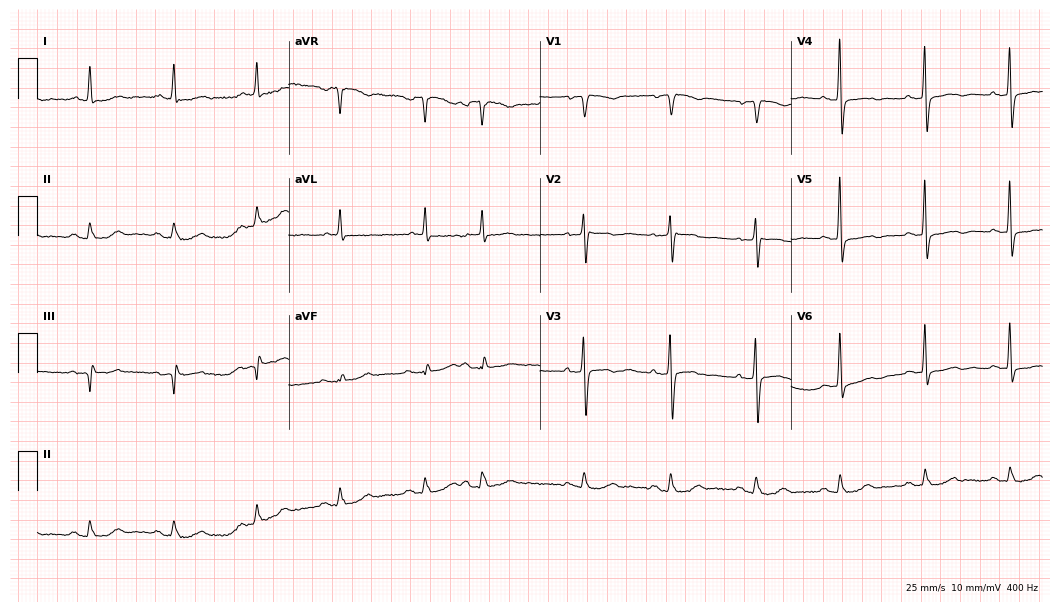
Standard 12-lead ECG recorded from a woman, 73 years old (10.2-second recording at 400 Hz). None of these six findings is recorded: first-degree AV block, right bundle branch block (RBBB), left bundle branch block (LBBB), sinus bradycardia, atrial fibrillation (AF), sinus tachycardia.